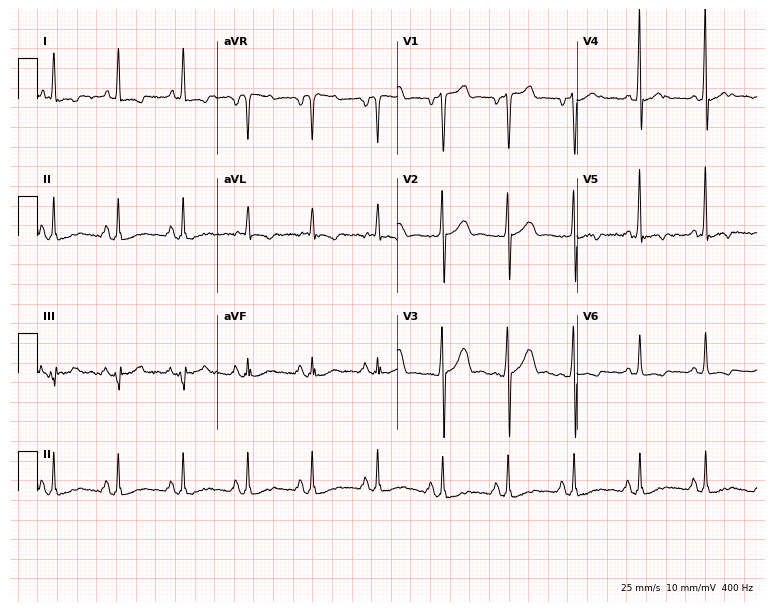
12-lead ECG from a male, 55 years old. No first-degree AV block, right bundle branch block (RBBB), left bundle branch block (LBBB), sinus bradycardia, atrial fibrillation (AF) or sinus tachycardia recorded for this tracing. Only these six findings were labelled.